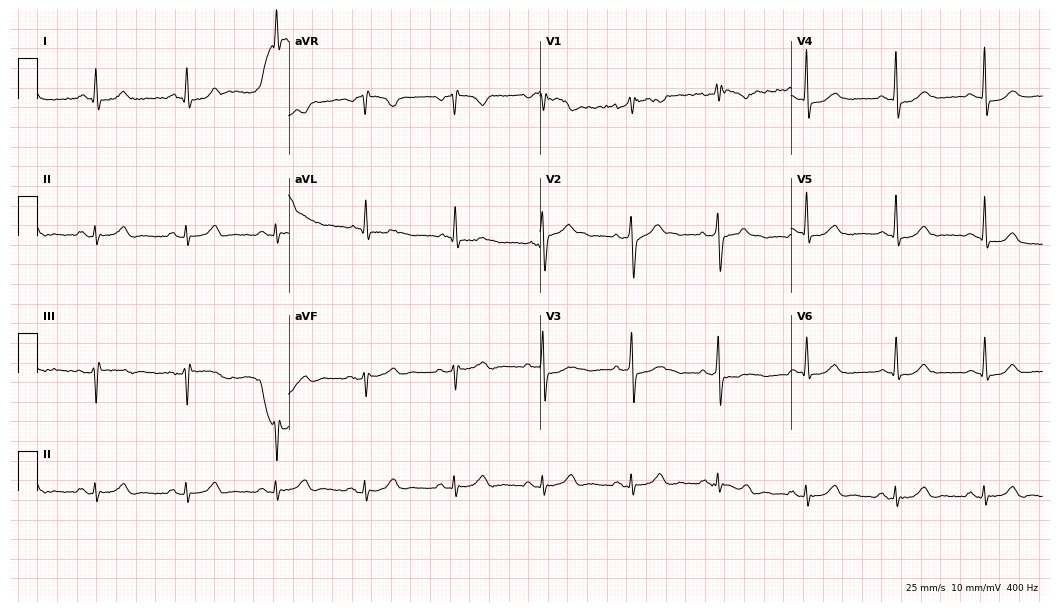
Electrocardiogram (10.2-second recording at 400 Hz), a male, 55 years old. Of the six screened findings (first-degree AV block, right bundle branch block, left bundle branch block, sinus bradycardia, atrial fibrillation, sinus tachycardia), none is recorded. Only these six findings were labelled.